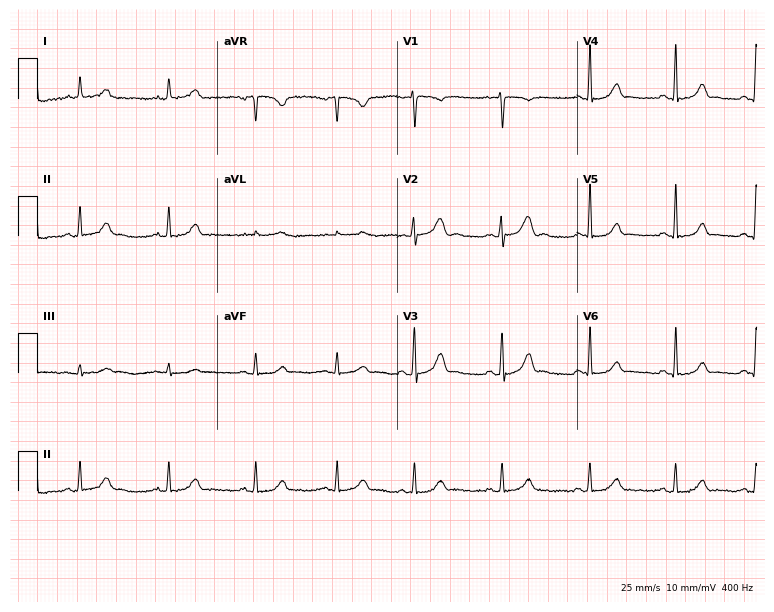
Standard 12-lead ECG recorded from a 38-year-old female patient (7.3-second recording at 400 Hz). None of these six findings is recorded: first-degree AV block, right bundle branch block (RBBB), left bundle branch block (LBBB), sinus bradycardia, atrial fibrillation (AF), sinus tachycardia.